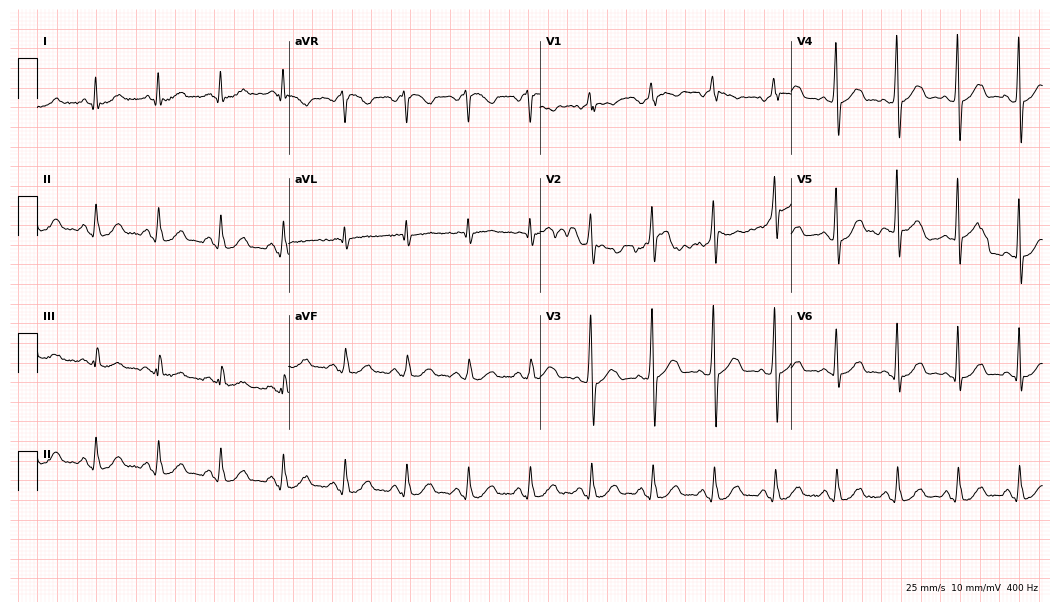
Resting 12-lead electrocardiogram (10.2-second recording at 400 Hz). Patient: a 60-year-old woman. Read as a normal ECG.